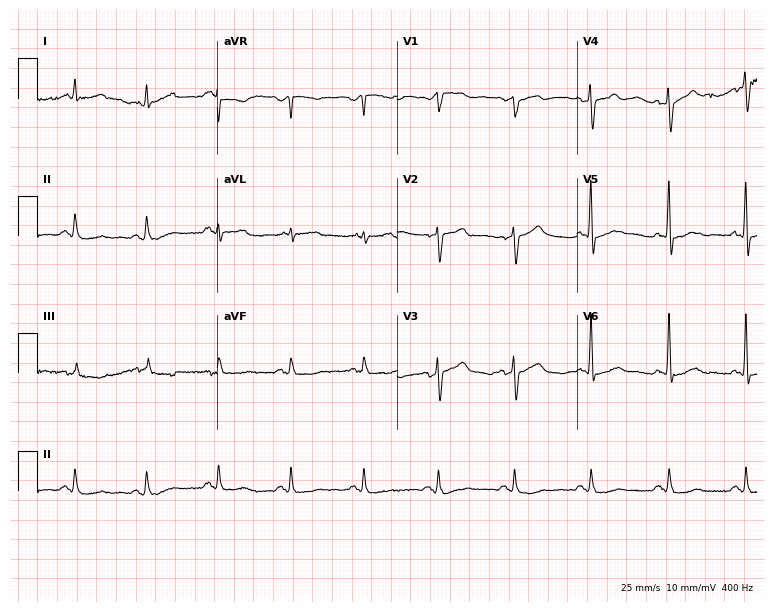
12-lead ECG (7.3-second recording at 400 Hz) from a 77-year-old male. Labelled as a normal ECG.